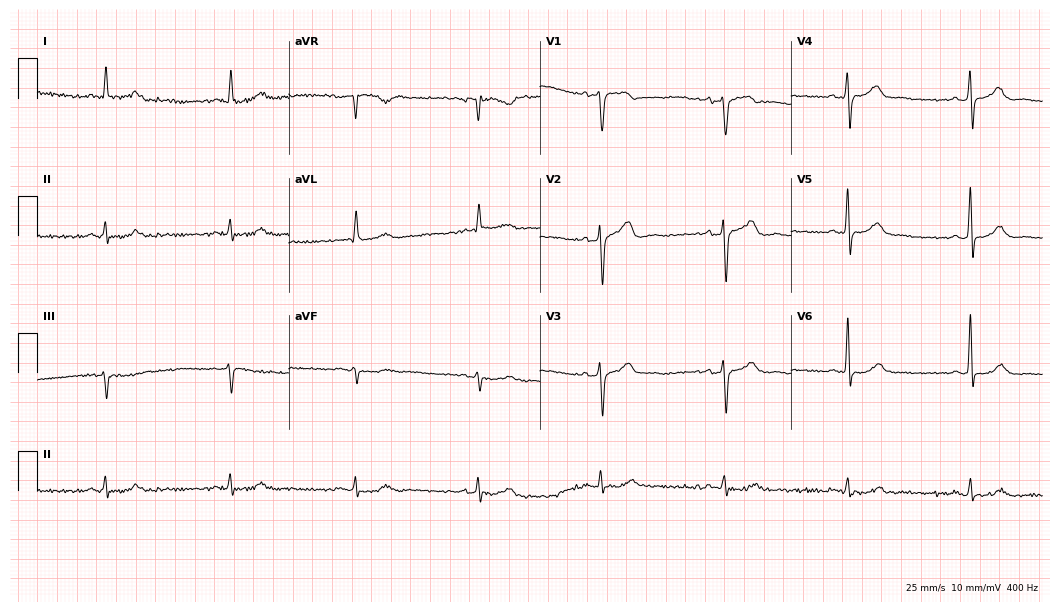
Standard 12-lead ECG recorded from a male, 75 years old (10.2-second recording at 400 Hz). The tracing shows sinus bradycardia (a sinus rate of 50 beats per minute or less).